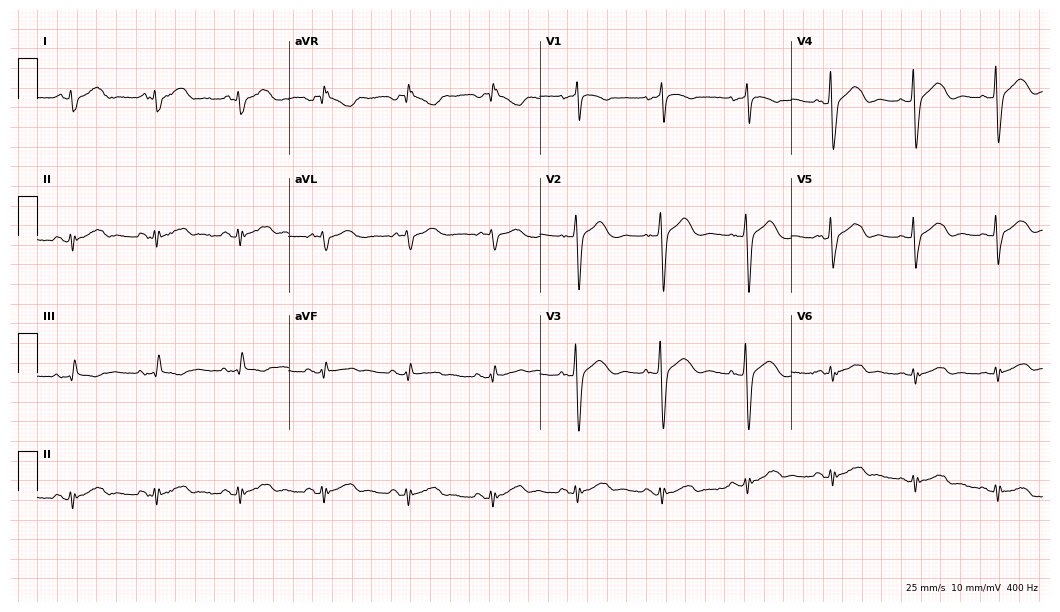
12-lead ECG from a female, 81 years old (10.2-second recording at 400 Hz). No first-degree AV block, right bundle branch block, left bundle branch block, sinus bradycardia, atrial fibrillation or sinus tachycardia recorded for this tracing. Findings outside these six are not listed.